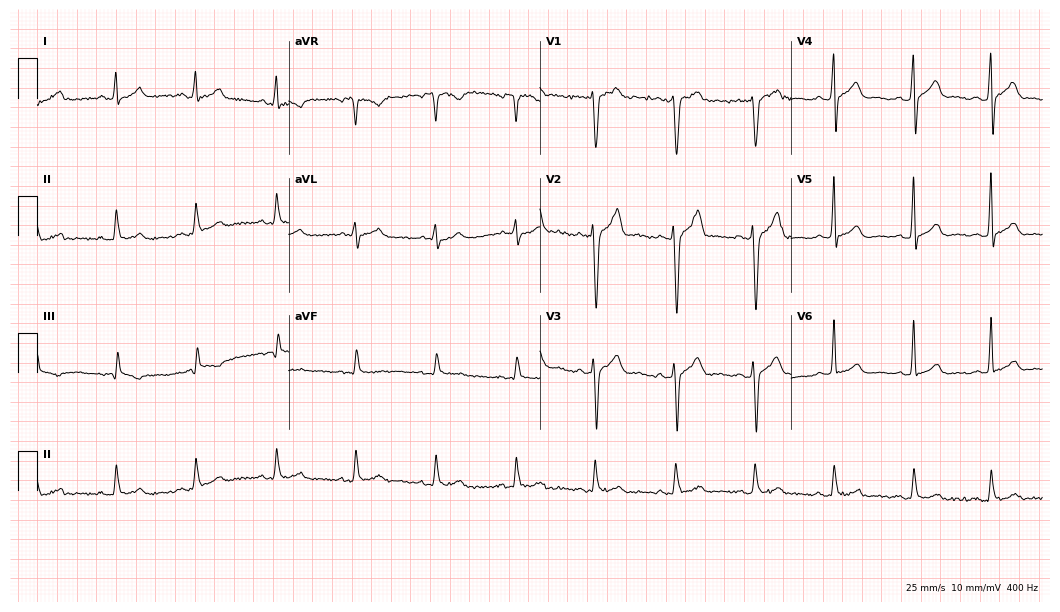
Electrocardiogram (10.2-second recording at 400 Hz), a male, 35 years old. Overall reading on record: normal ECG.